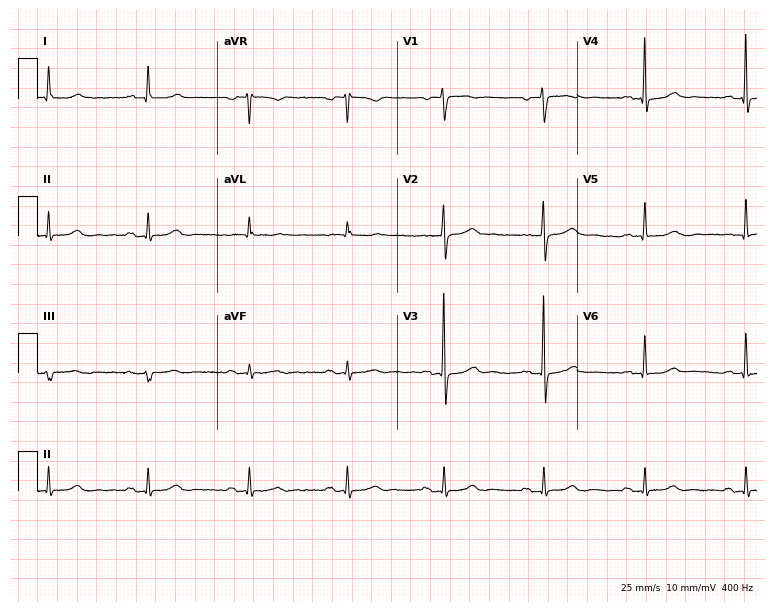
Resting 12-lead electrocardiogram. Patient: a female, 71 years old. Read as a normal ECG.